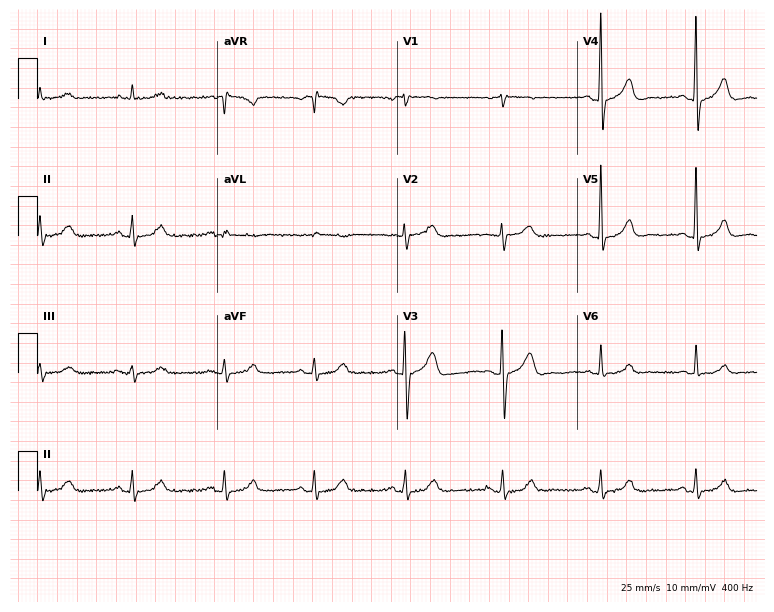
ECG — a 71-year-old male patient. Labelled as a normal ECG.